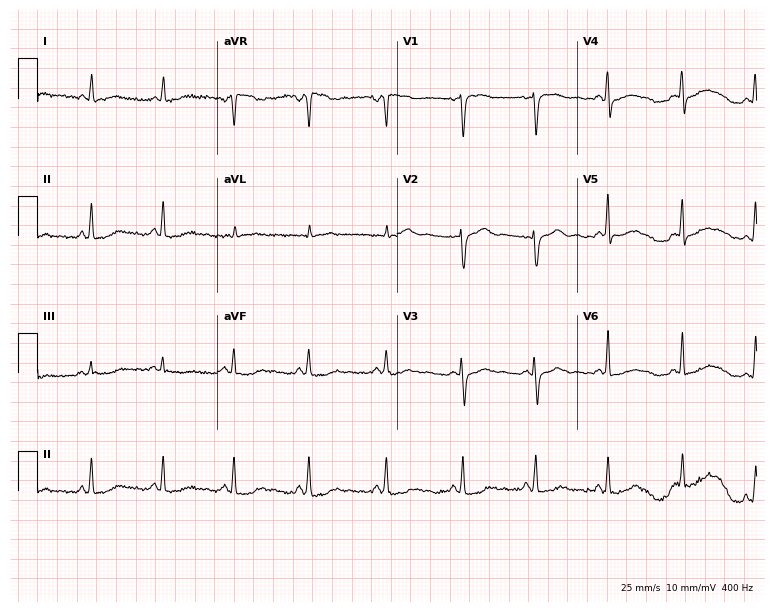
ECG (7.3-second recording at 400 Hz) — a 46-year-old woman. Labelled as a normal ECG.